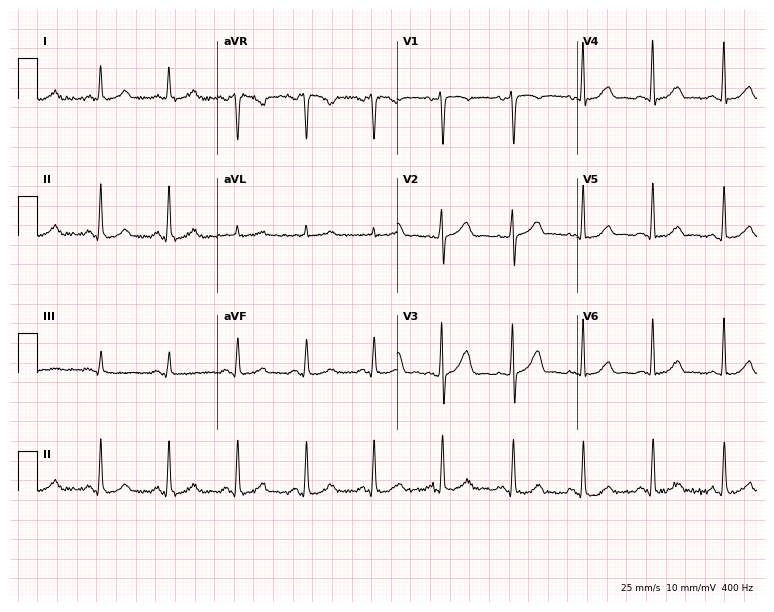
ECG (7.3-second recording at 400 Hz) — a female patient, 41 years old. Labelled as a normal ECG.